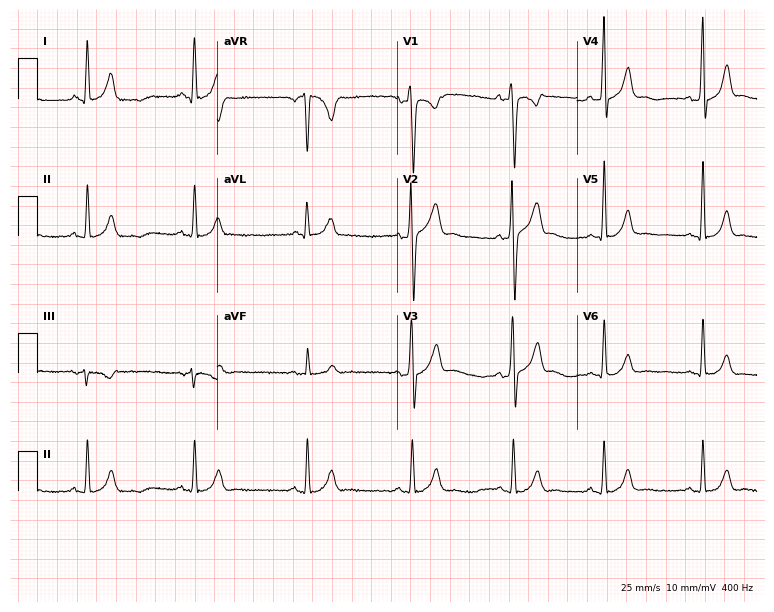
Electrocardiogram, a 26-year-old man. Of the six screened findings (first-degree AV block, right bundle branch block, left bundle branch block, sinus bradycardia, atrial fibrillation, sinus tachycardia), none is recorded. Findings outside these six are not listed.